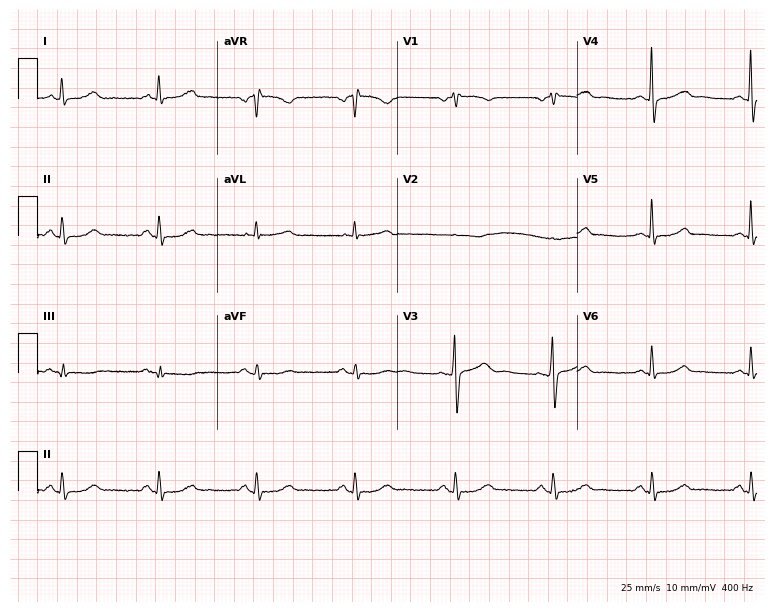
Electrocardiogram (7.3-second recording at 400 Hz), a woman, 65 years old. Overall reading on record: normal ECG.